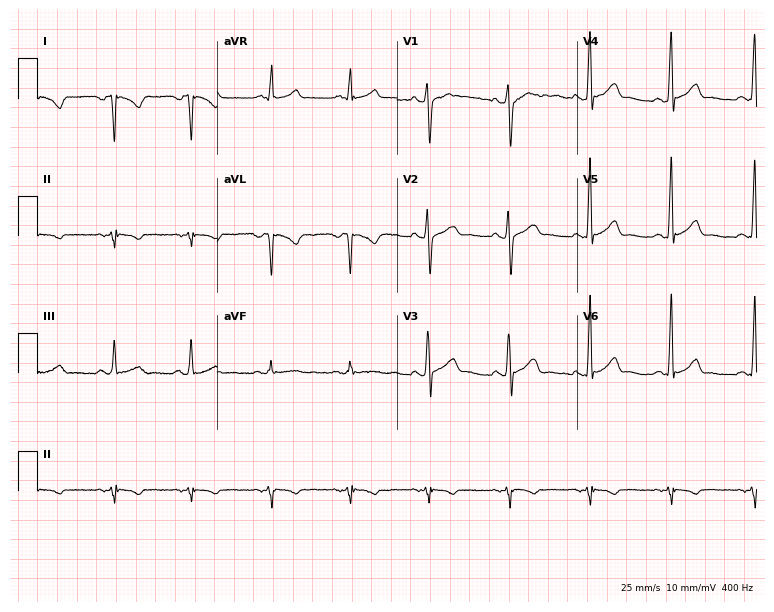
Standard 12-lead ECG recorded from a male, 31 years old (7.3-second recording at 400 Hz). Read as a normal ECG.